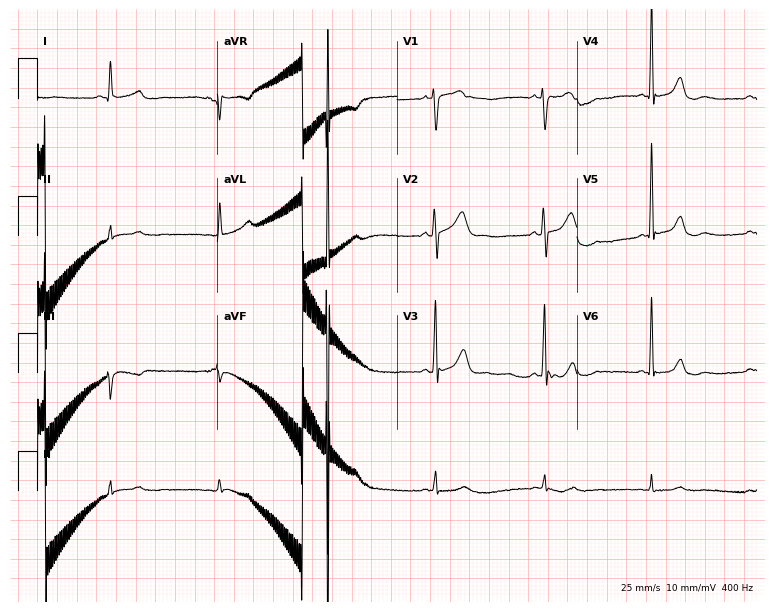
Electrocardiogram (7.3-second recording at 400 Hz), a 66-year-old male patient. Of the six screened findings (first-degree AV block, right bundle branch block (RBBB), left bundle branch block (LBBB), sinus bradycardia, atrial fibrillation (AF), sinus tachycardia), none is recorded.